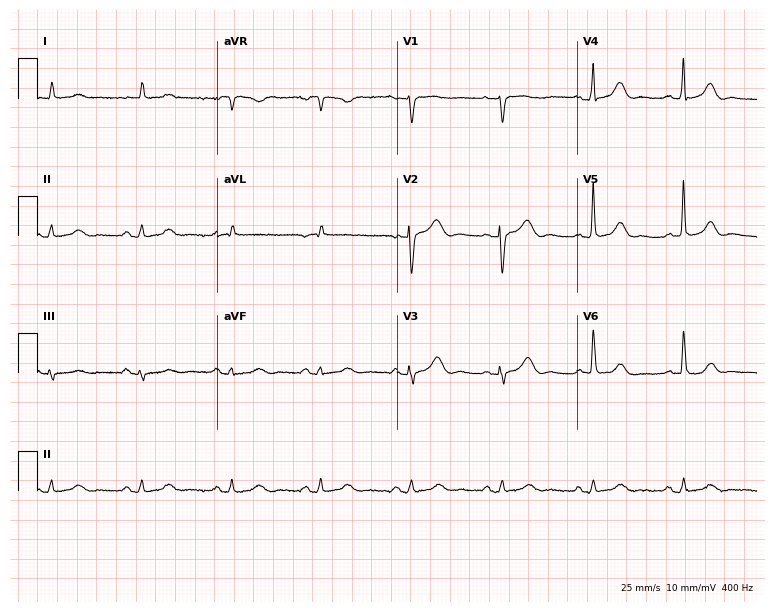
ECG — a woman, 71 years old. Screened for six findings — first-degree AV block, right bundle branch block, left bundle branch block, sinus bradycardia, atrial fibrillation, sinus tachycardia — none is recorded. Only these six findings were labelled.